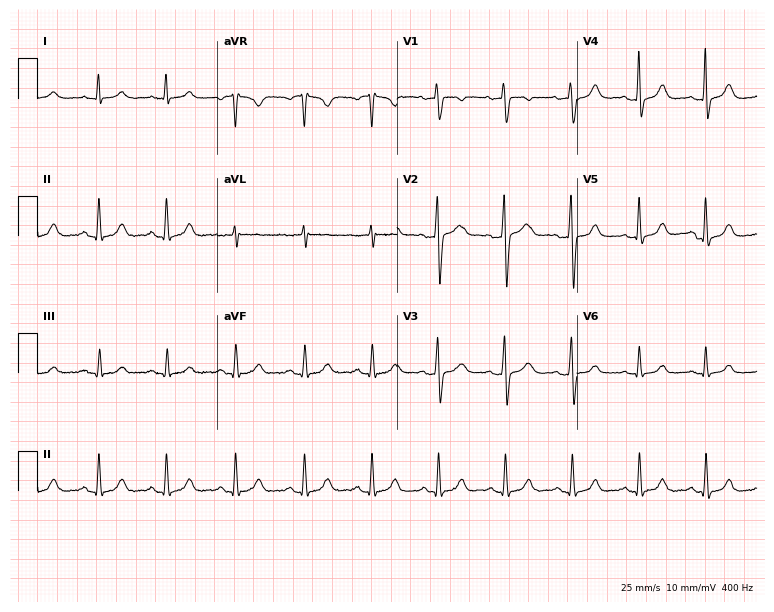
ECG (7.3-second recording at 400 Hz) — a 31-year-old woman. Screened for six findings — first-degree AV block, right bundle branch block (RBBB), left bundle branch block (LBBB), sinus bradycardia, atrial fibrillation (AF), sinus tachycardia — none is recorded.